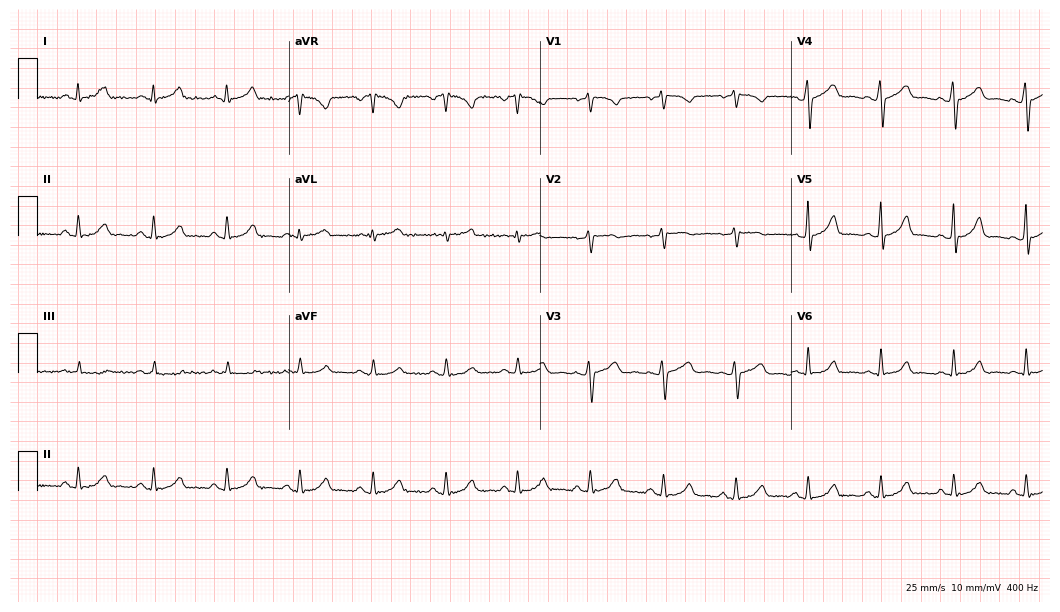
12-lead ECG from a female, 34 years old. Labelled as a normal ECG.